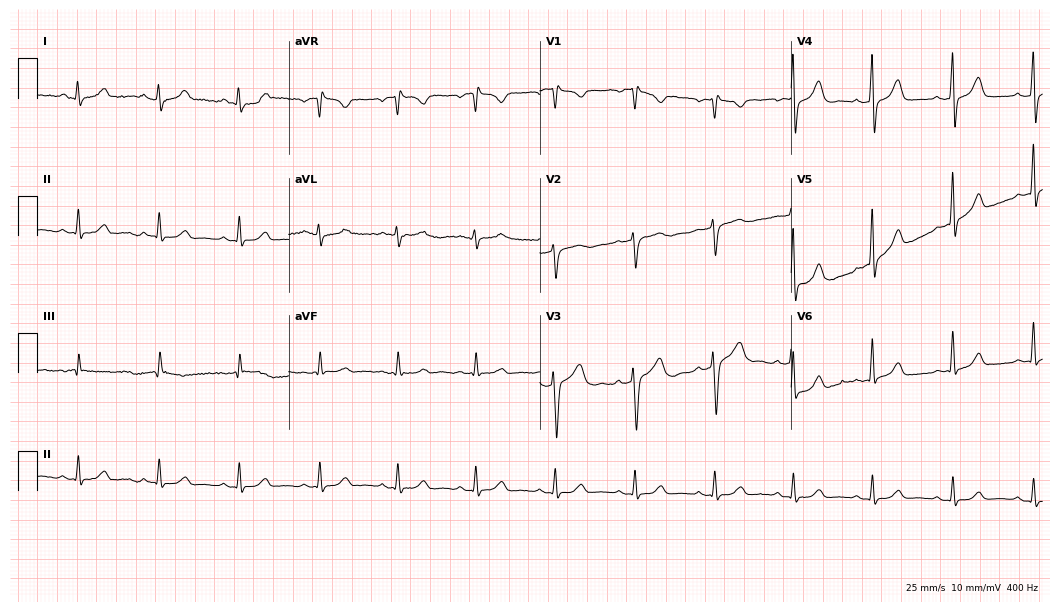
Standard 12-lead ECG recorded from a male, 38 years old (10.2-second recording at 400 Hz). Read as a normal ECG.